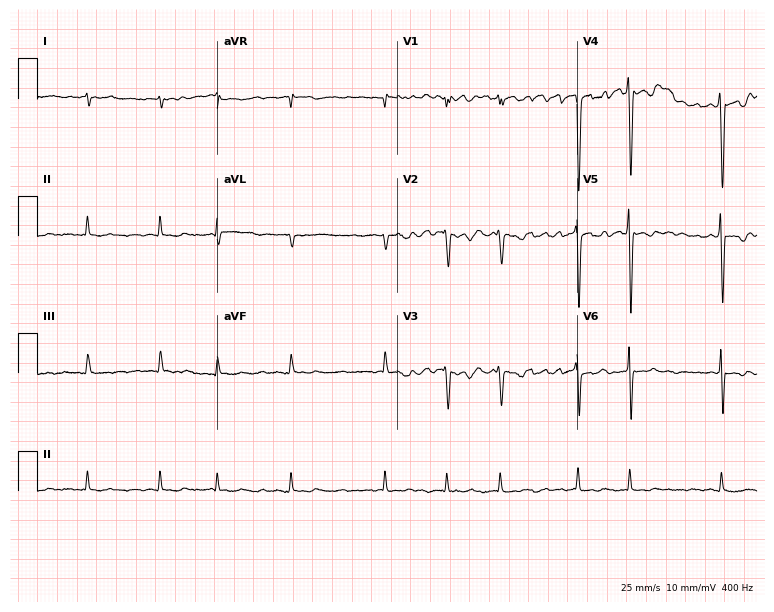
12-lead ECG (7.3-second recording at 400 Hz) from a male patient, 73 years old. Screened for six findings — first-degree AV block, right bundle branch block (RBBB), left bundle branch block (LBBB), sinus bradycardia, atrial fibrillation (AF), sinus tachycardia — none is recorded. Only these six findings were labelled.